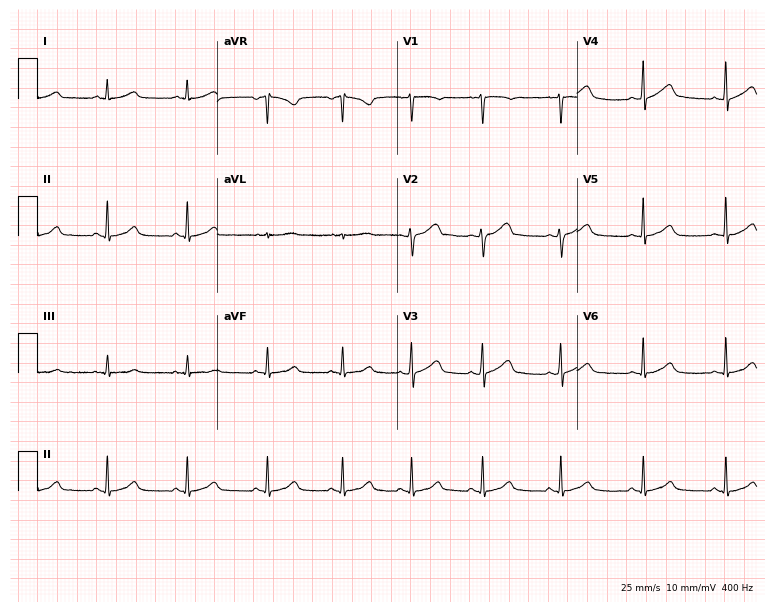
12-lead ECG from a 25-year-old woman. Labelled as a normal ECG.